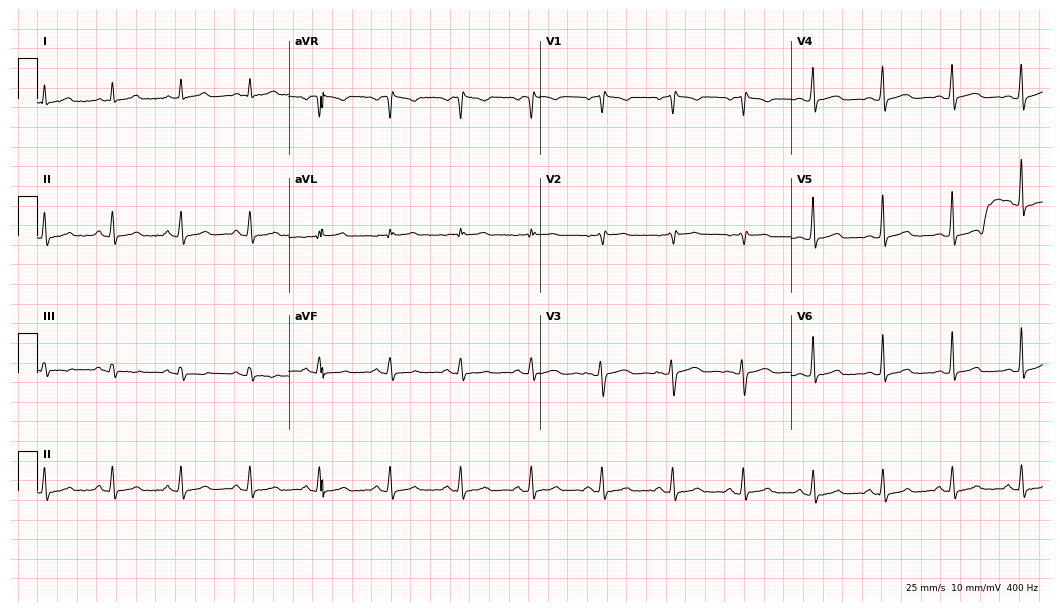
Electrocardiogram (10.2-second recording at 400 Hz), a female patient, 59 years old. Overall reading on record: normal ECG.